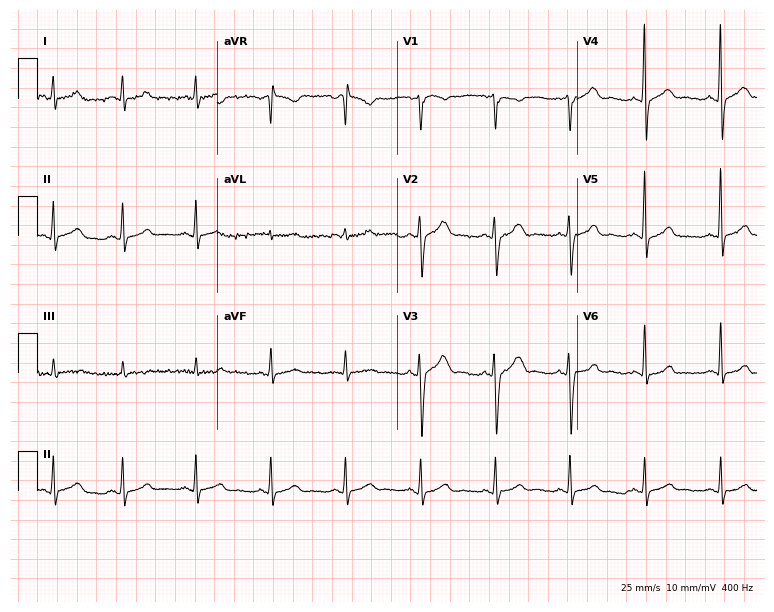
Electrocardiogram (7.3-second recording at 400 Hz), a man, 36 years old. Of the six screened findings (first-degree AV block, right bundle branch block, left bundle branch block, sinus bradycardia, atrial fibrillation, sinus tachycardia), none is recorded. Other findings, if any, are not listed.